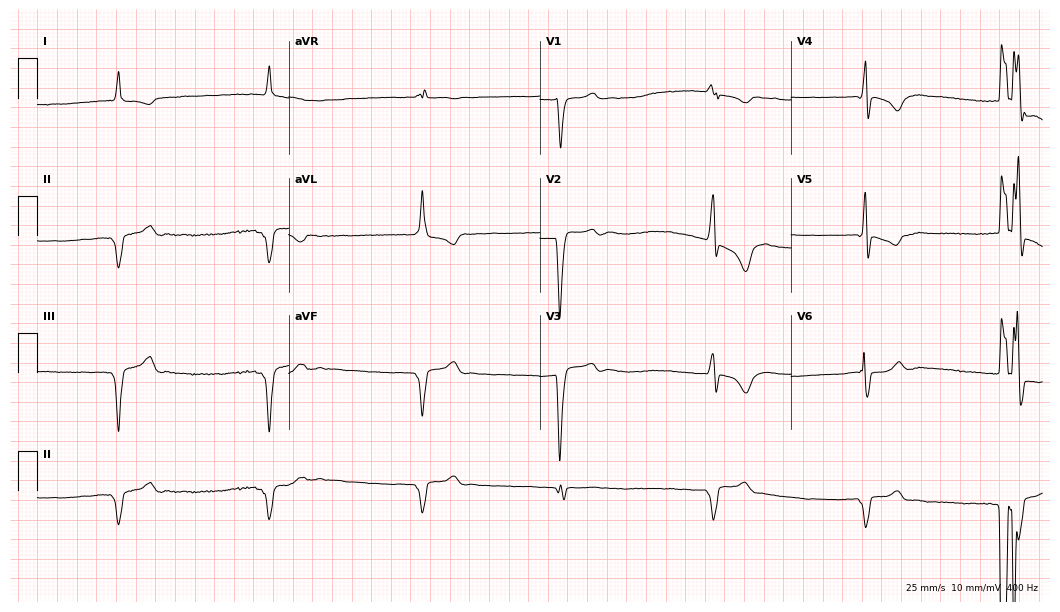
Standard 12-lead ECG recorded from a male patient, 58 years old (10.2-second recording at 400 Hz). None of these six findings is recorded: first-degree AV block, right bundle branch block, left bundle branch block, sinus bradycardia, atrial fibrillation, sinus tachycardia.